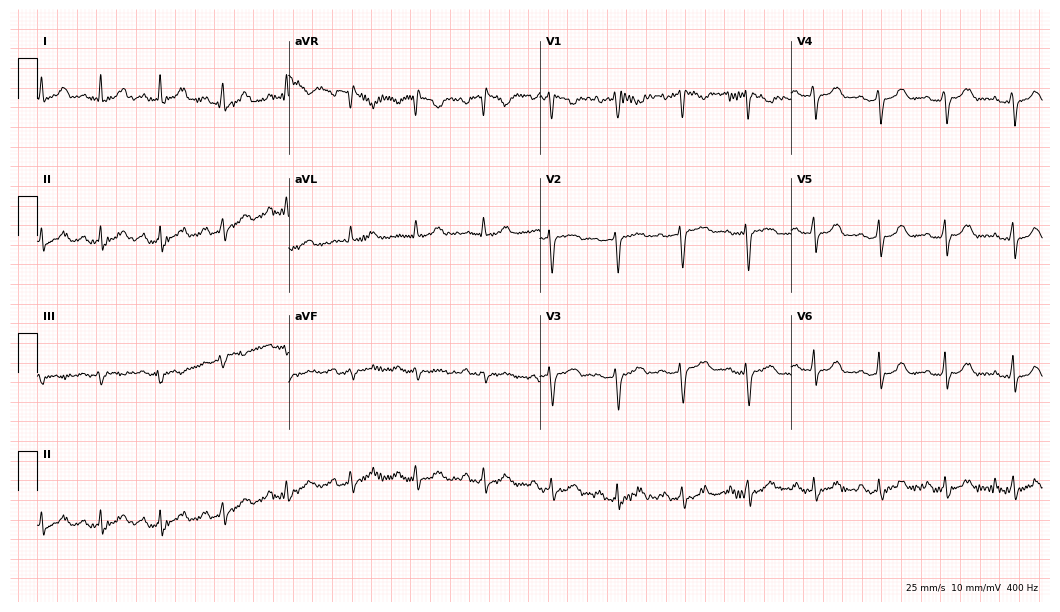
Electrocardiogram, a female patient, 34 years old. Overall reading on record: normal ECG.